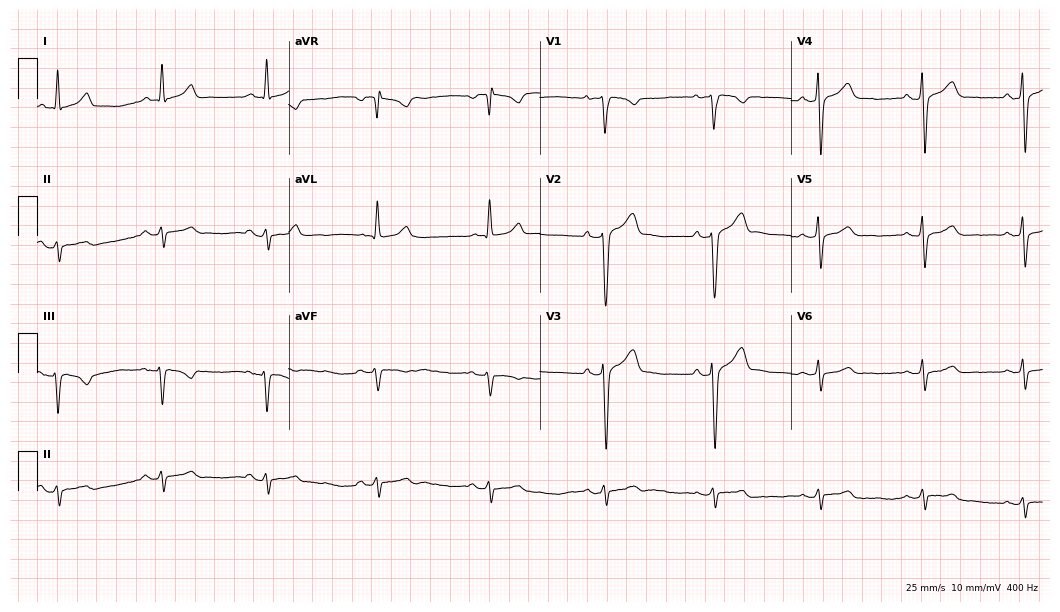
ECG (10.2-second recording at 400 Hz) — a male patient, 48 years old. Screened for six findings — first-degree AV block, right bundle branch block (RBBB), left bundle branch block (LBBB), sinus bradycardia, atrial fibrillation (AF), sinus tachycardia — none is recorded. Other findings, if any, are not listed.